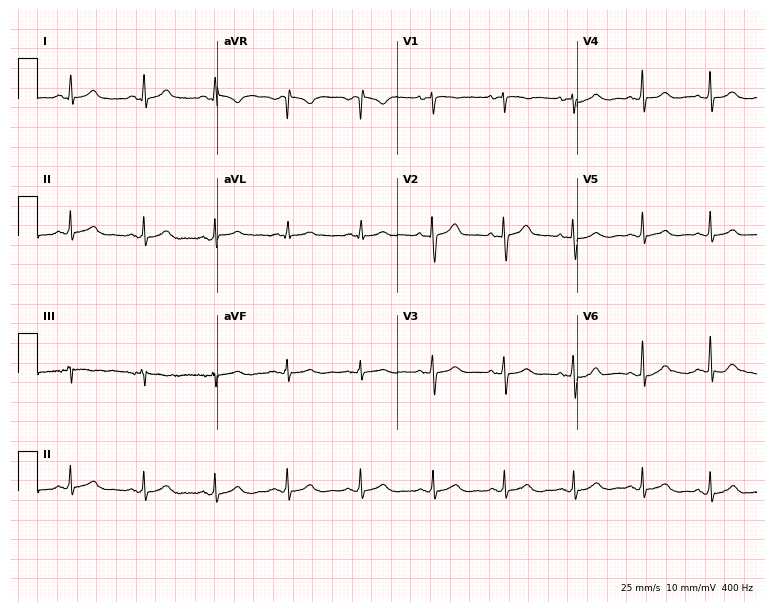
12-lead ECG from a 50-year-old female patient. Labelled as a normal ECG.